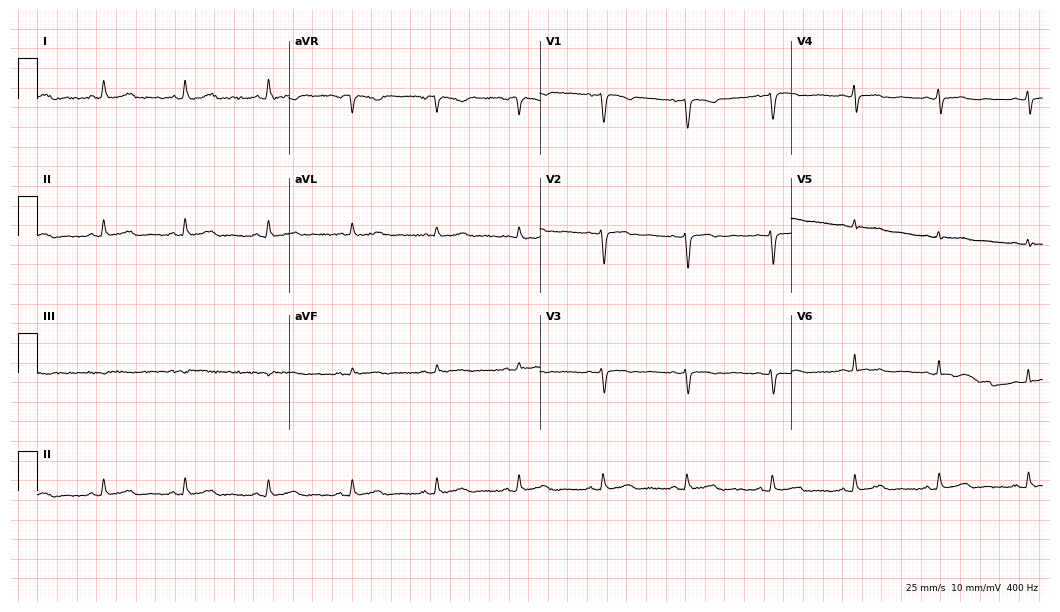
Standard 12-lead ECG recorded from a female patient, 38 years old. None of these six findings is recorded: first-degree AV block, right bundle branch block, left bundle branch block, sinus bradycardia, atrial fibrillation, sinus tachycardia.